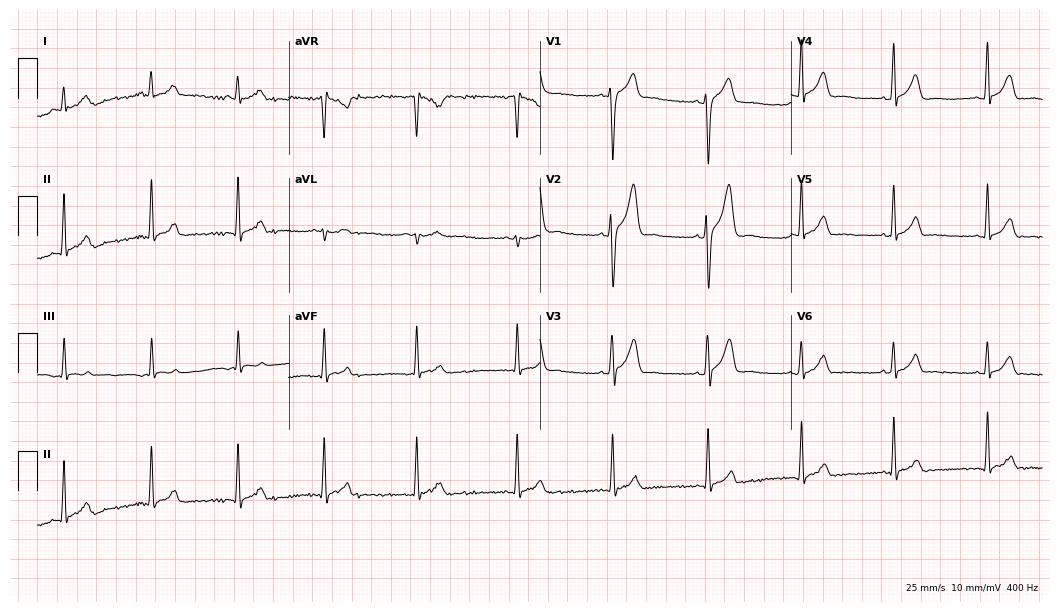
ECG — a 22-year-old male patient. Labelled as a normal ECG.